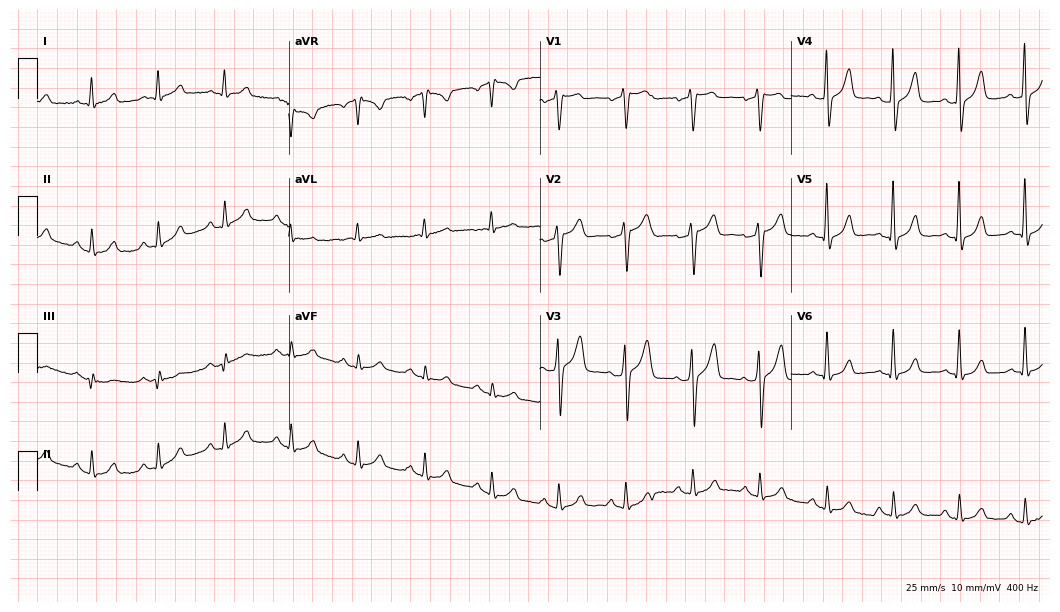
12-lead ECG from a male patient, 50 years old. Recorded interpretation: within normal limits.